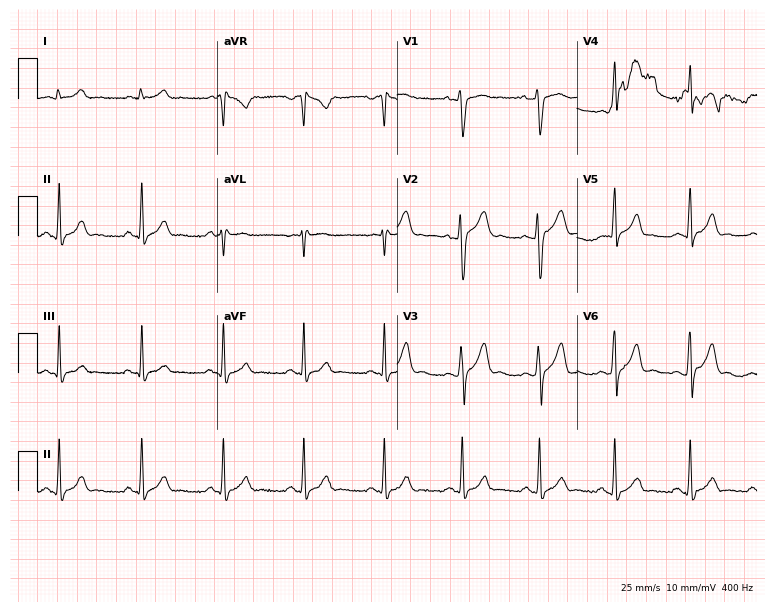
12-lead ECG from a male, 21 years old. No first-degree AV block, right bundle branch block, left bundle branch block, sinus bradycardia, atrial fibrillation or sinus tachycardia recorded for this tracing.